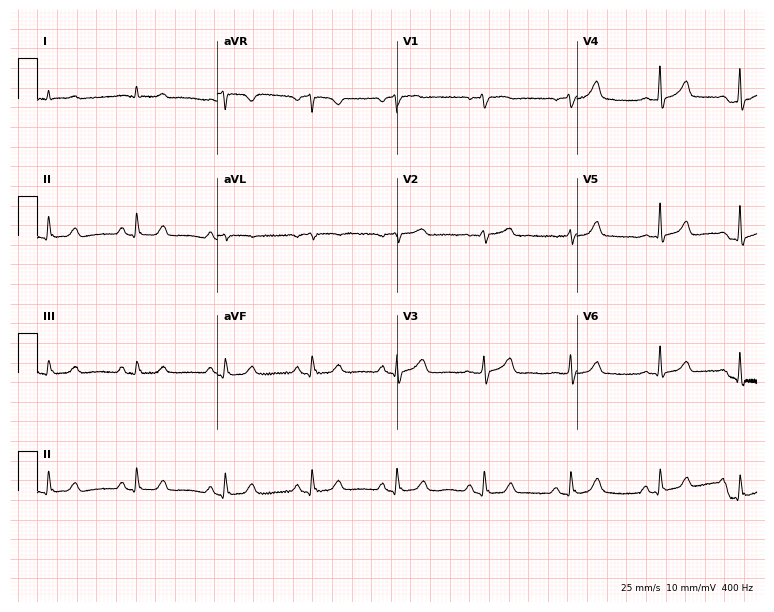
Resting 12-lead electrocardiogram (7.3-second recording at 400 Hz). Patient: a male, 83 years old. None of these six findings is recorded: first-degree AV block, right bundle branch block (RBBB), left bundle branch block (LBBB), sinus bradycardia, atrial fibrillation (AF), sinus tachycardia. Only these six findings were labelled.